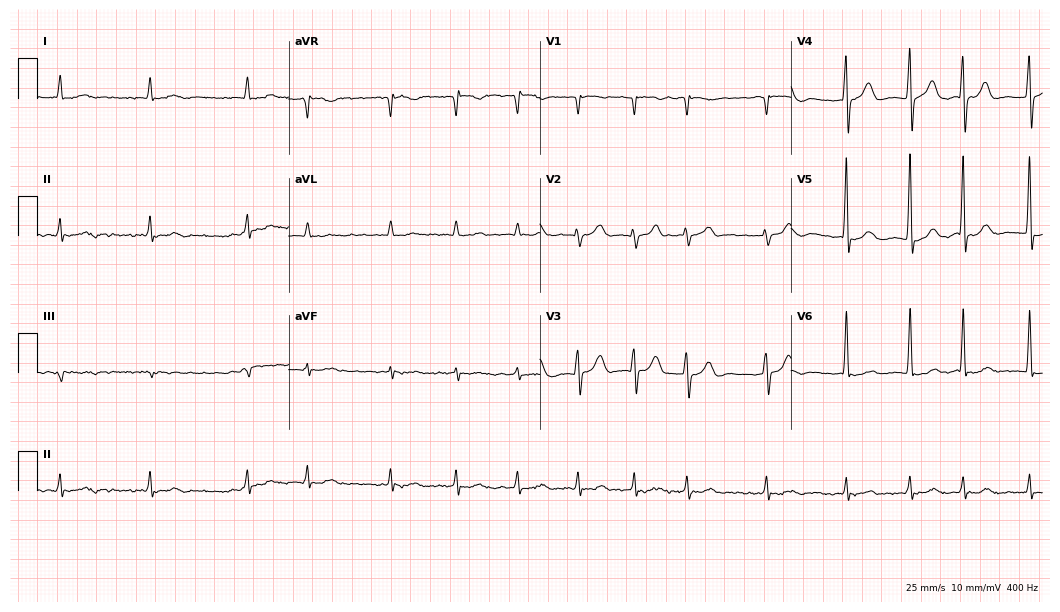
Standard 12-lead ECG recorded from a 75-year-old man (10.2-second recording at 400 Hz). The tracing shows atrial fibrillation.